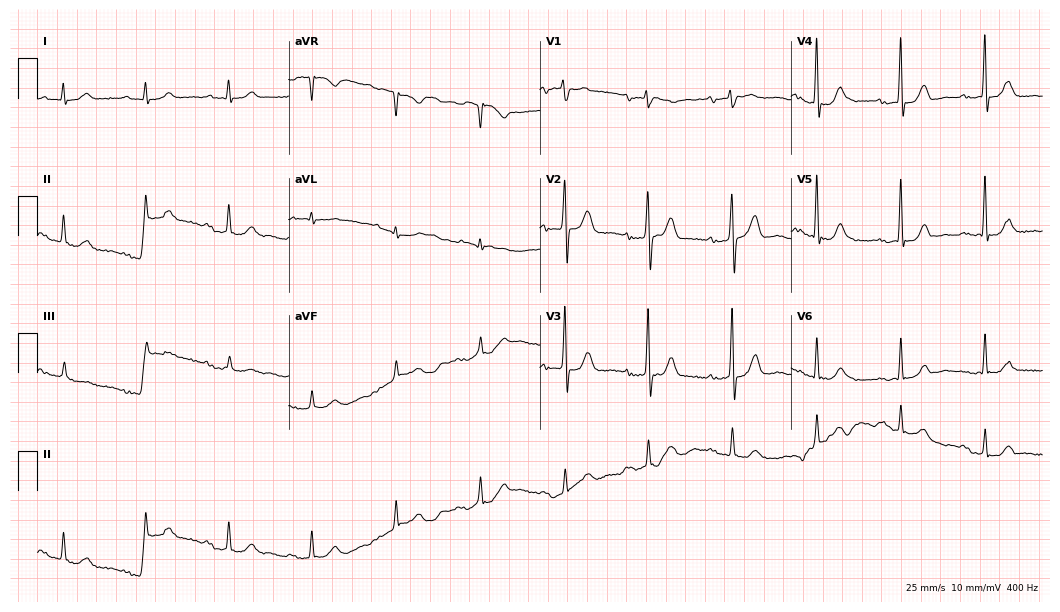
Standard 12-lead ECG recorded from a male, 73 years old. Read as a normal ECG.